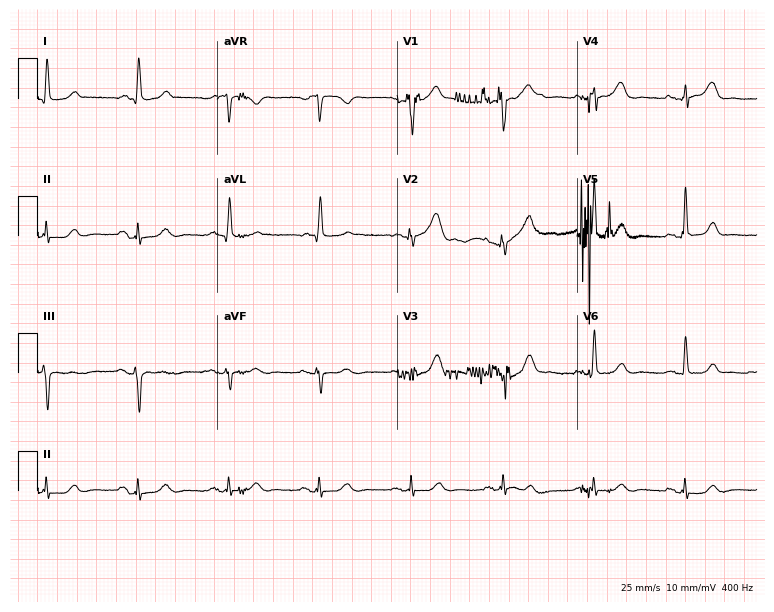
ECG — an 83-year-old female. Screened for six findings — first-degree AV block, right bundle branch block, left bundle branch block, sinus bradycardia, atrial fibrillation, sinus tachycardia — none is recorded. Only these six findings were labelled.